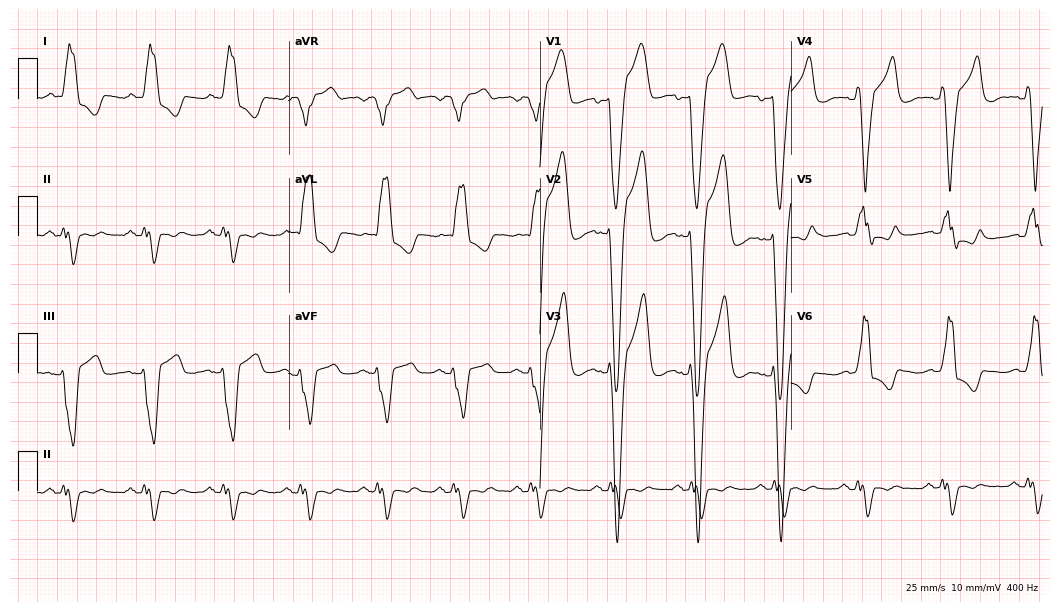
12-lead ECG (10.2-second recording at 400 Hz) from a 61-year-old male. Findings include left bundle branch block.